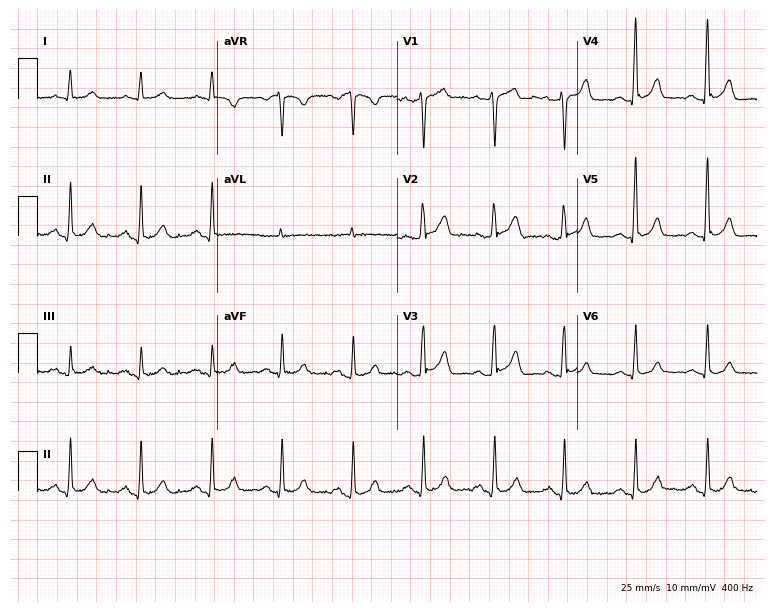
ECG (7.3-second recording at 400 Hz) — a man, 64 years old. Labelled as a normal ECG.